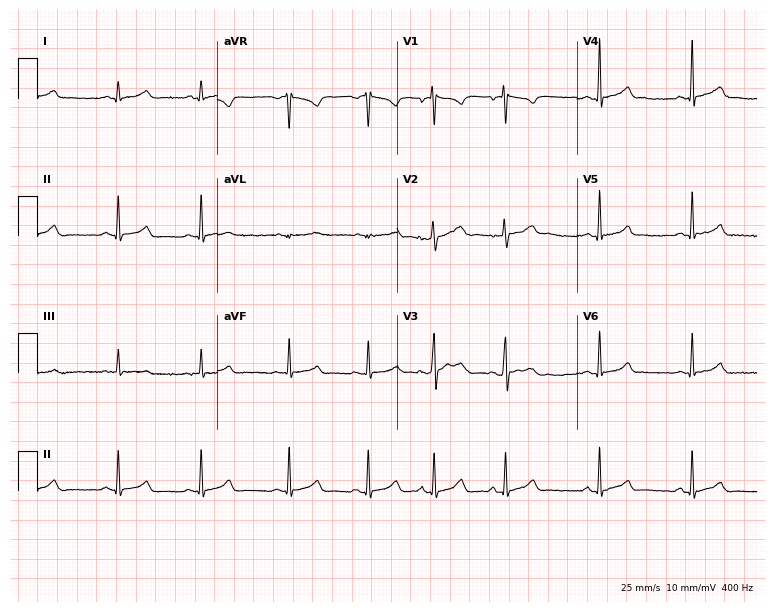
Resting 12-lead electrocardiogram (7.3-second recording at 400 Hz). Patient: a 21-year-old female. Read as a normal ECG.